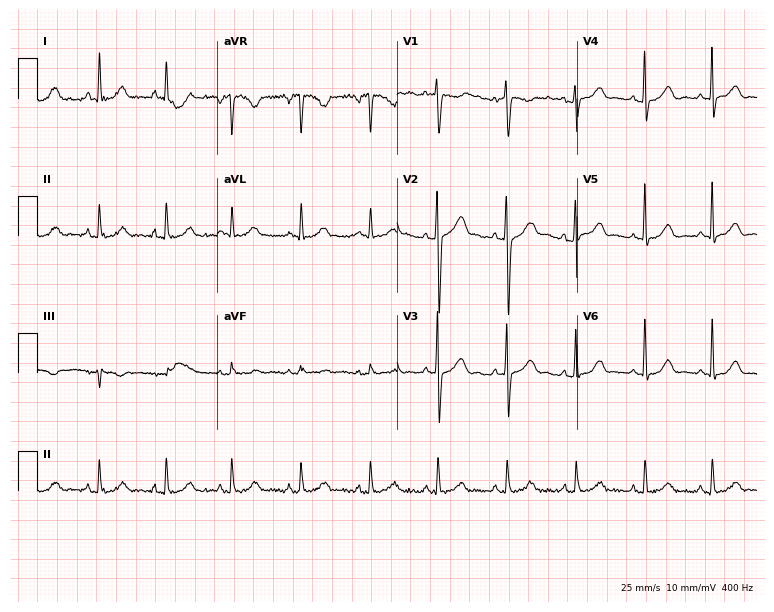
ECG — a female, 44 years old. Labelled as a normal ECG.